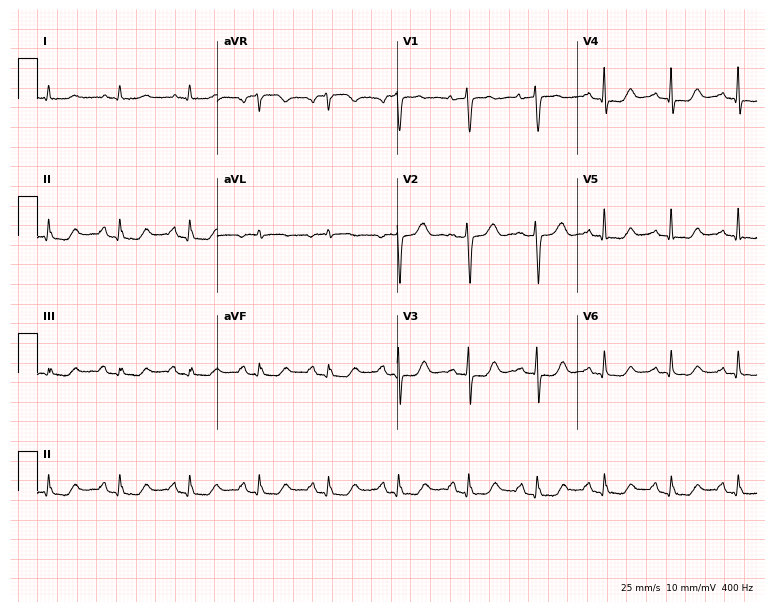
12-lead ECG from a female, 61 years old (7.3-second recording at 400 Hz). No first-degree AV block, right bundle branch block, left bundle branch block, sinus bradycardia, atrial fibrillation or sinus tachycardia recorded for this tracing. Other findings, if any, are not listed.